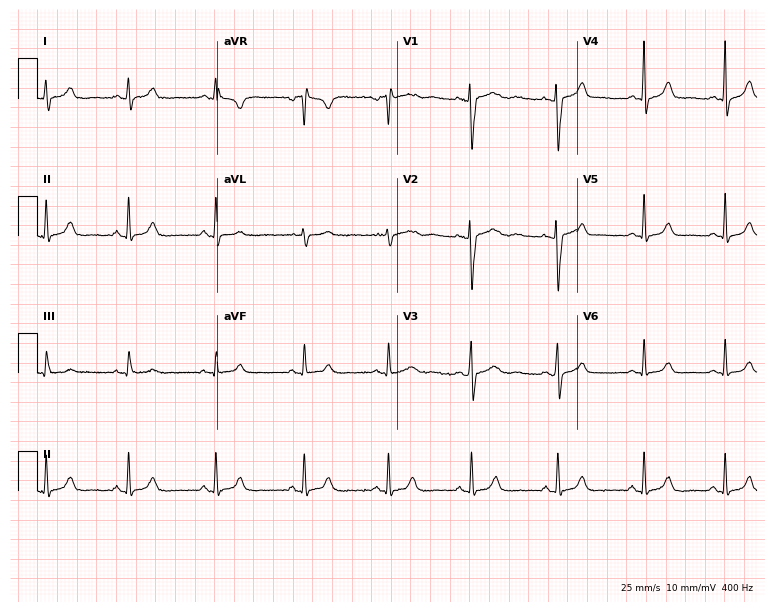
Standard 12-lead ECG recorded from a 24-year-old female patient. Read as a normal ECG.